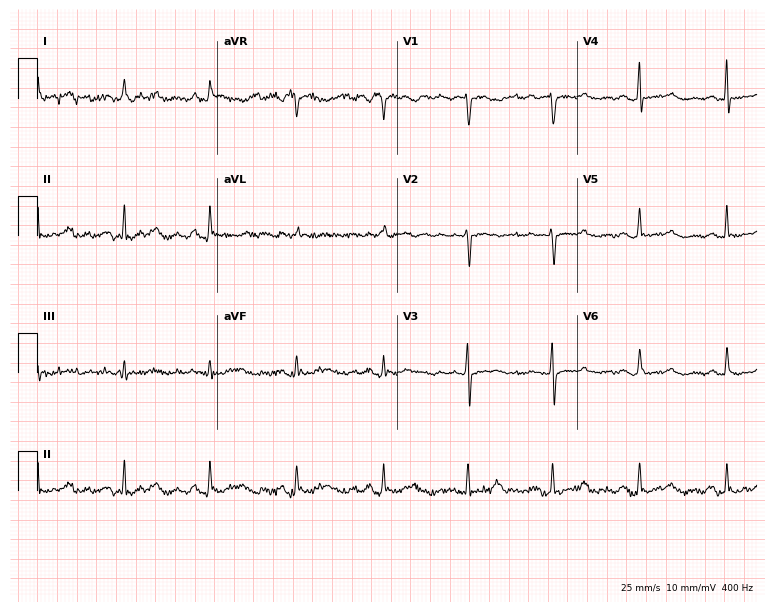
Resting 12-lead electrocardiogram (7.3-second recording at 400 Hz). Patient: a woman, 79 years old. None of these six findings is recorded: first-degree AV block, right bundle branch block (RBBB), left bundle branch block (LBBB), sinus bradycardia, atrial fibrillation (AF), sinus tachycardia. Findings outside these six are not listed.